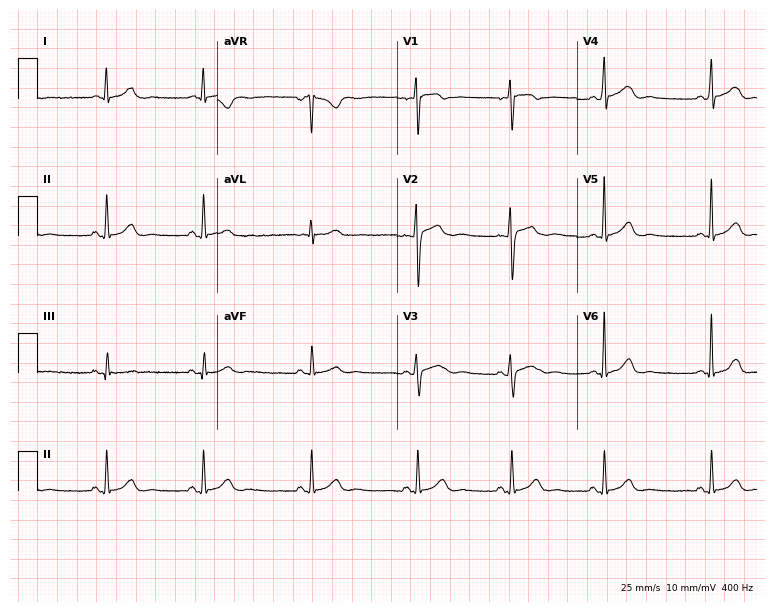
Standard 12-lead ECG recorded from a 40-year-old female (7.3-second recording at 400 Hz). None of these six findings is recorded: first-degree AV block, right bundle branch block, left bundle branch block, sinus bradycardia, atrial fibrillation, sinus tachycardia. Only these six findings were labelled.